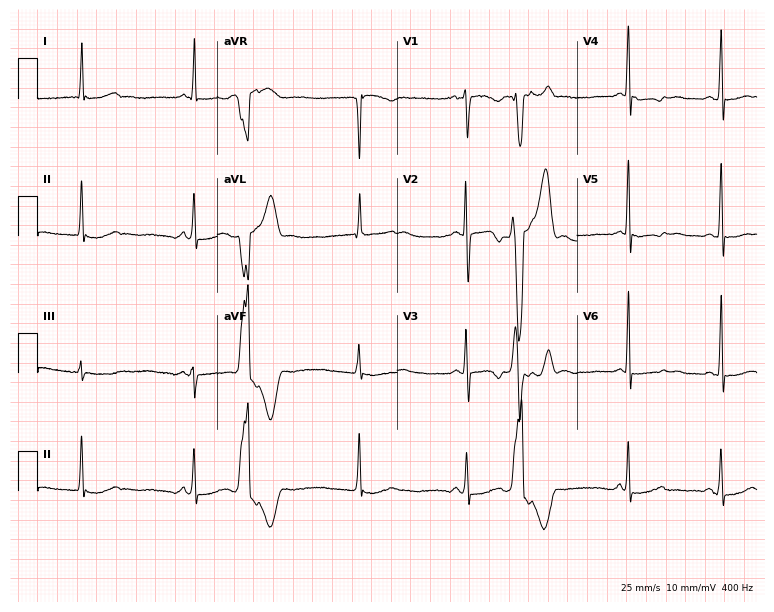
Electrocardiogram, a woman, 23 years old. Of the six screened findings (first-degree AV block, right bundle branch block, left bundle branch block, sinus bradycardia, atrial fibrillation, sinus tachycardia), none is recorded.